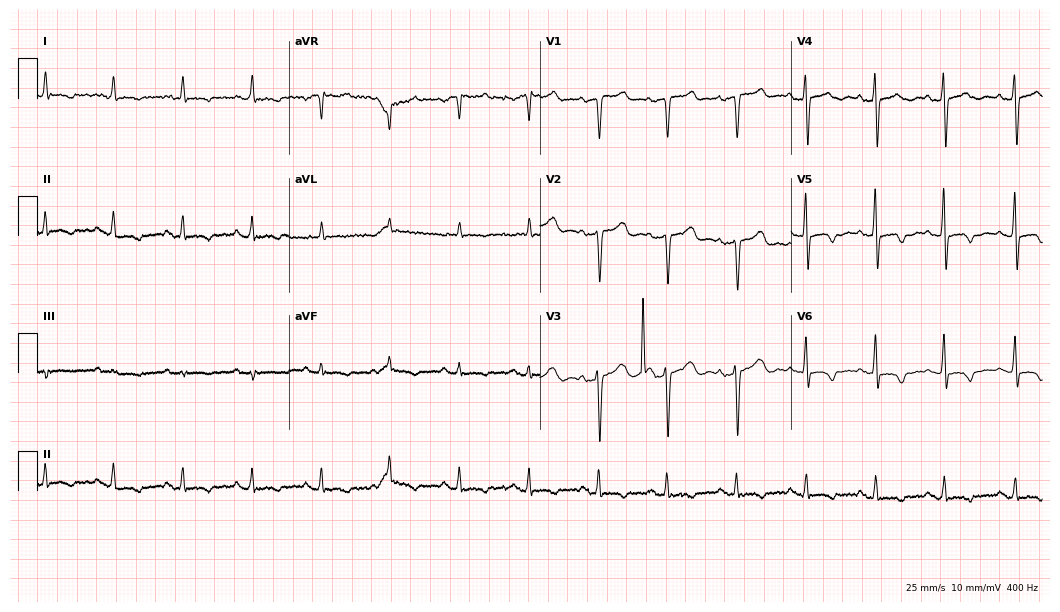
ECG — an 81-year-old man. Screened for six findings — first-degree AV block, right bundle branch block, left bundle branch block, sinus bradycardia, atrial fibrillation, sinus tachycardia — none is recorded.